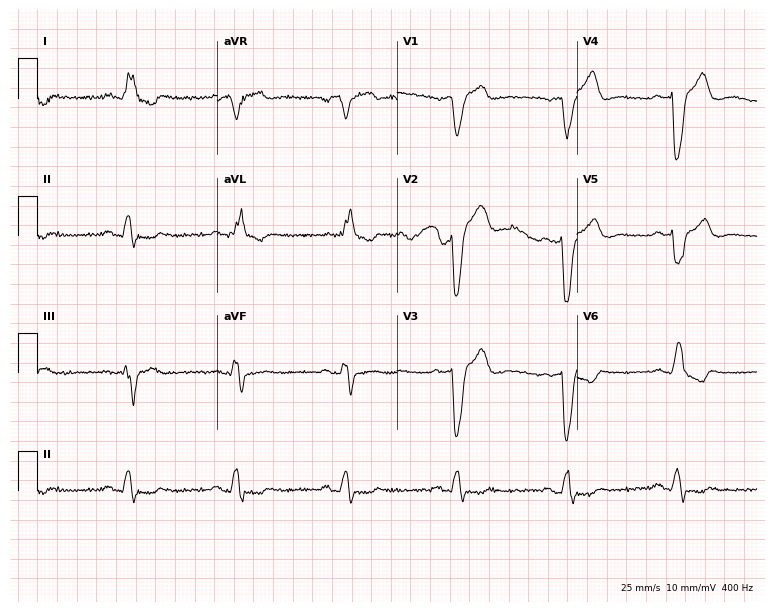
ECG (7.3-second recording at 400 Hz) — a man, 69 years old. Findings include left bundle branch block.